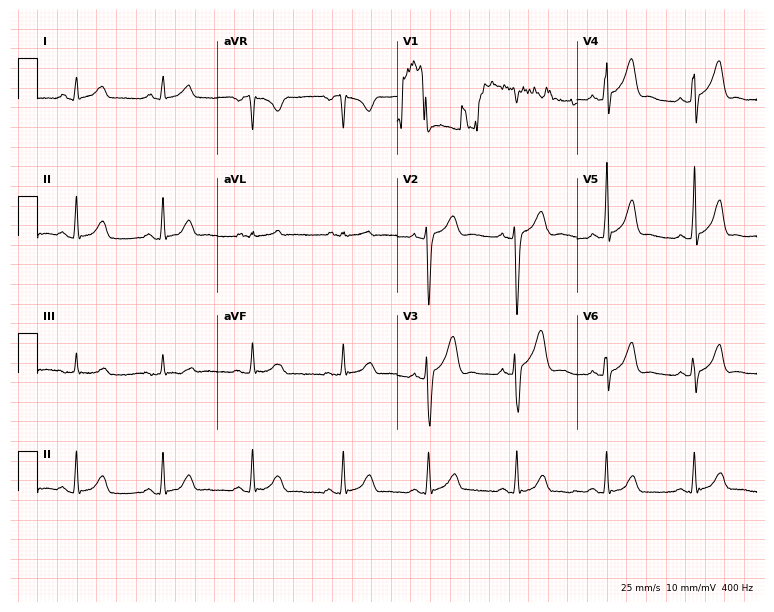
Electrocardiogram (7.3-second recording at 400 Hz), a 31-year-old male. Overall reading on record: normal ECG.